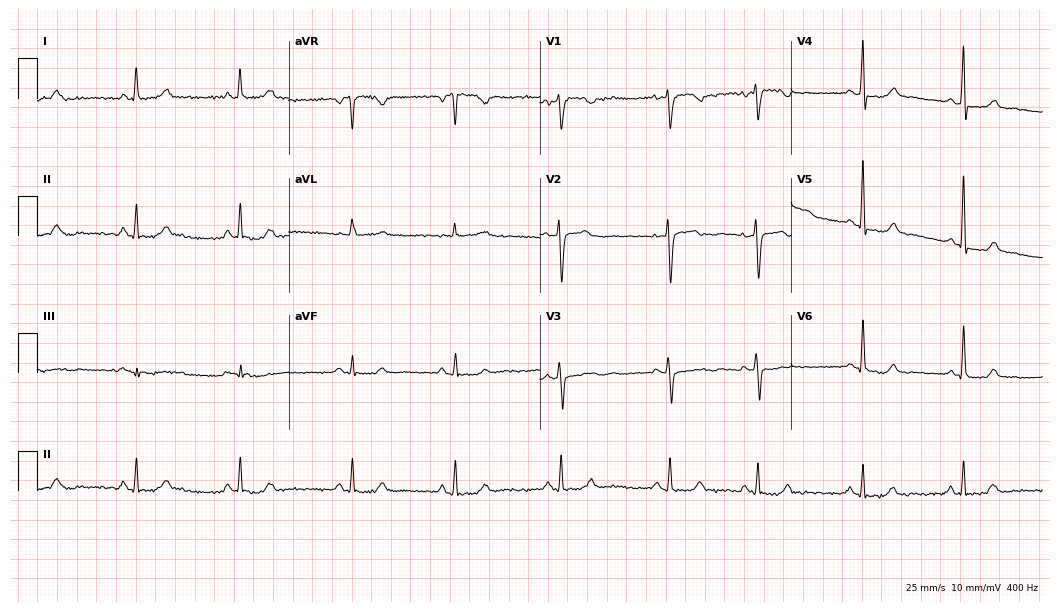
ECG — a 51-year-old female. Labelled as a normal ECG.